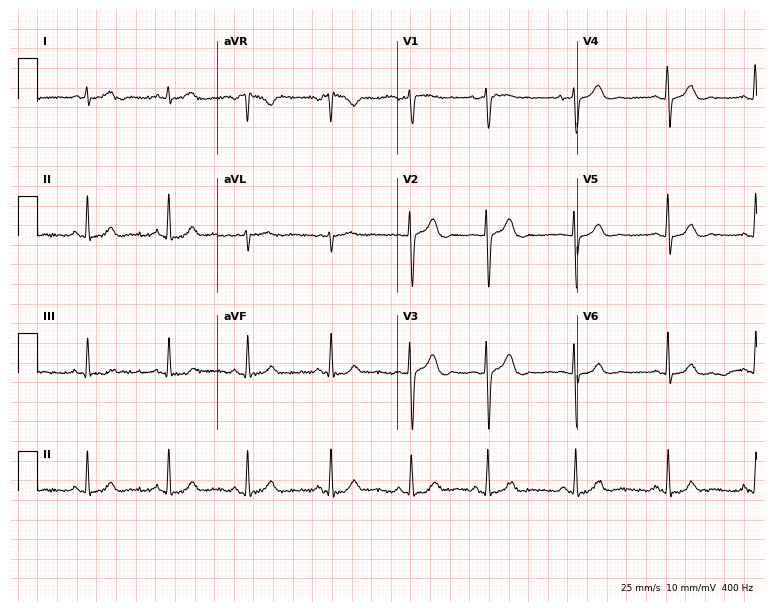
Electrocardiogram, a 30-year-old female. Overall reading on record: normal ECG.